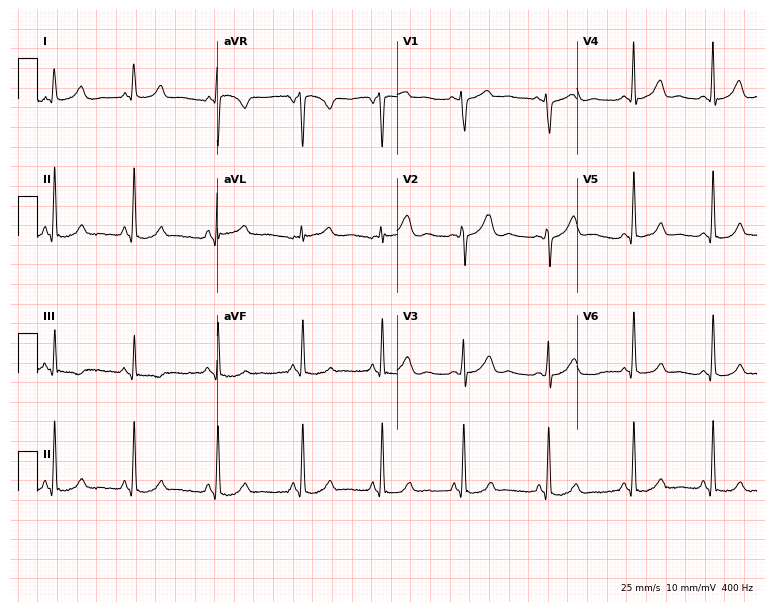
12-lead ECG from a 27-year-old female (7.3-second recording at 400 Hz). No first-degree AV block, right bundle branch block (RBBB), left bundle branch block (LBBB), sinus bradycardia, atrial fibrillation (AF) or sinus tachycardia recorded for this tracing. Only these six findings were labelled.